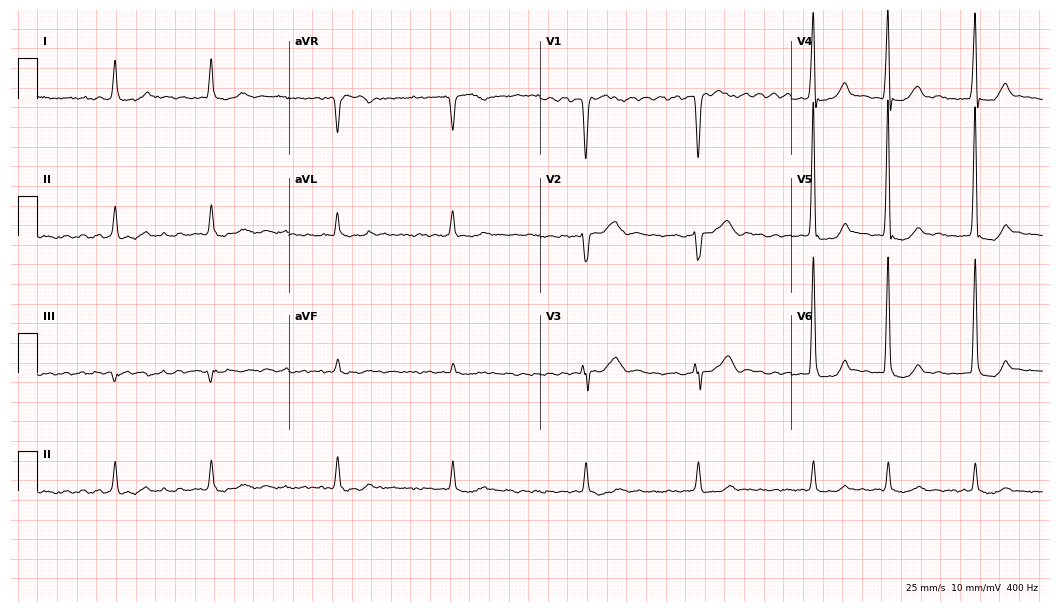
ECG — a 70-year-old male. Findings include atrial fibrillation (AF).